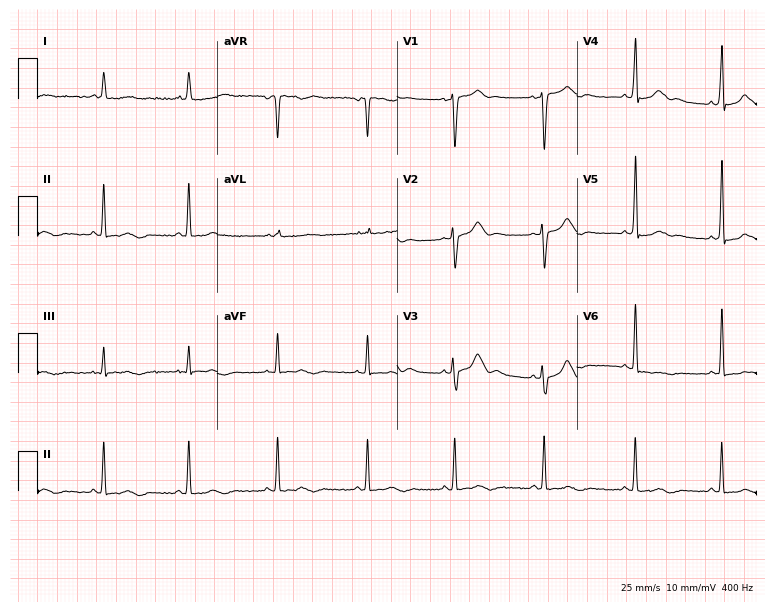
Standard 12-lead ECG recorded from a 49-year-old female (7.3-second recording at 400 Hz). None of these six findings is recorded: first-degree AV block, right bundle branch block, left bundle branch block, sinus bradycardia, atrial fibrillation, sinus tachycardia. Only these six findings were labelled.